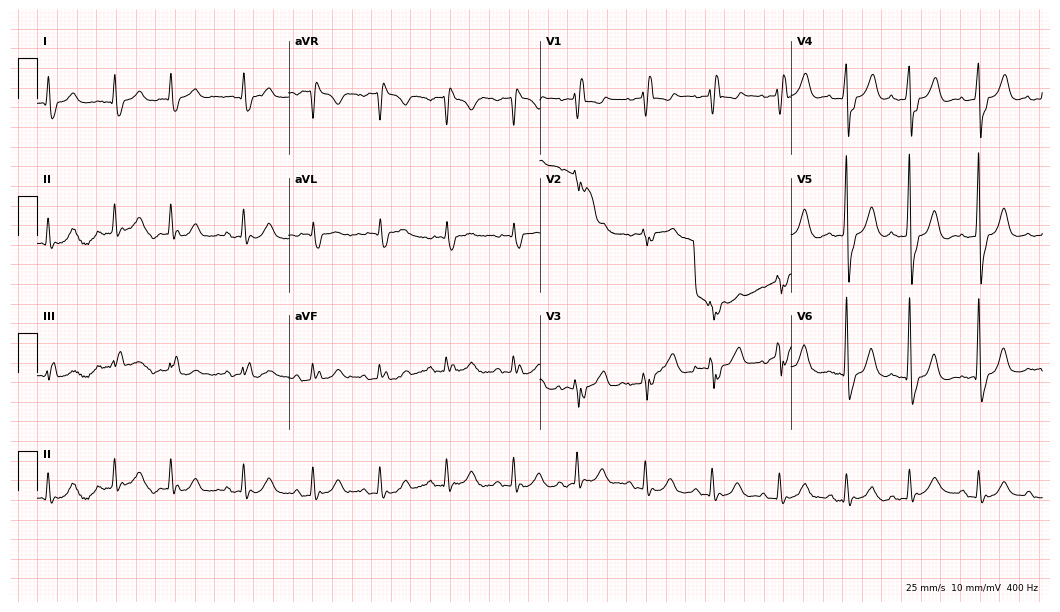
Resting 12-lead electrocardiogram (10.2-second recording at 400 Hz). Patient: a 79-year-old male. The tracing shows right bundle branch block (RBBB).